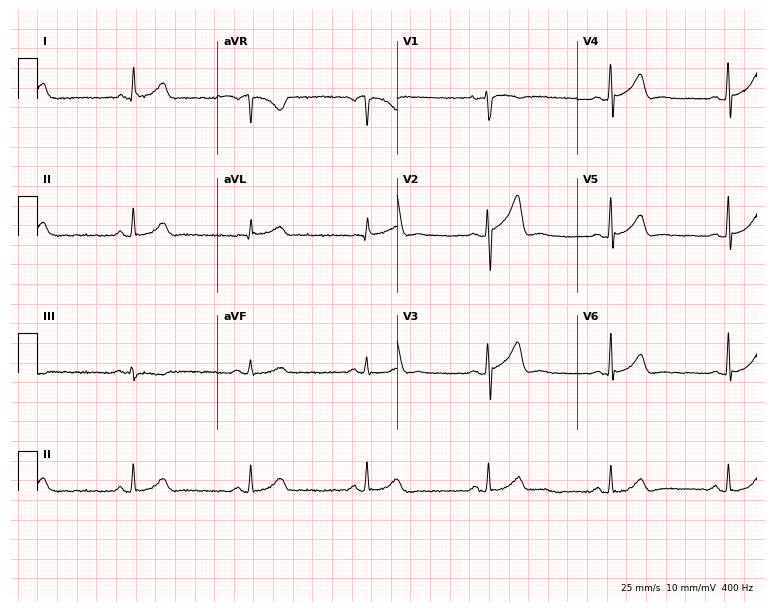
ECG — a 33-year-old male. Labelled as a normal ECG.